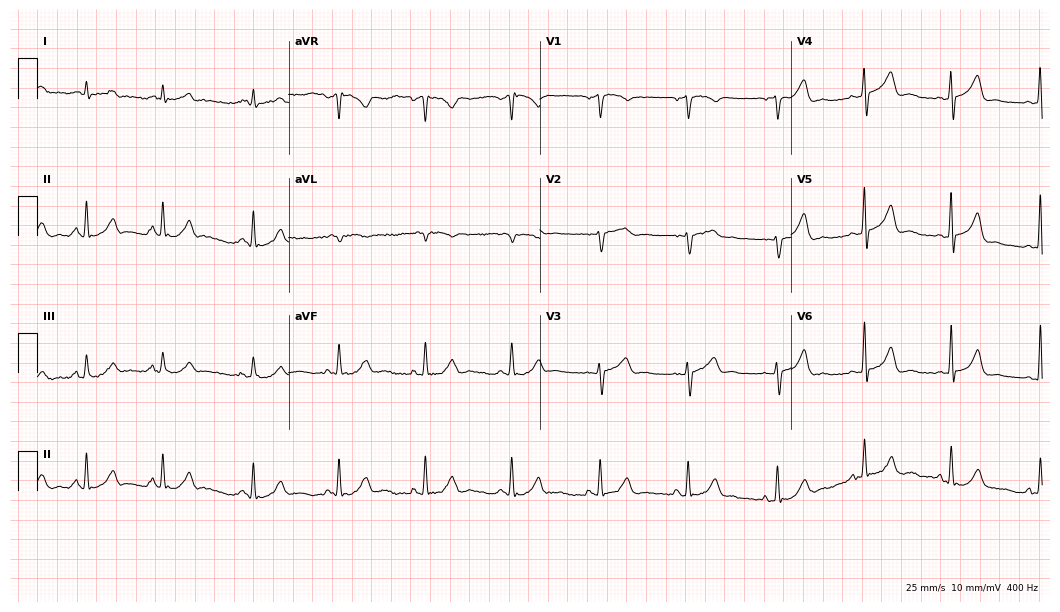
12-lead ECG (10.2-second recording at 400 Hz) from a 49-year-old male. Labelled as a normal ECG.